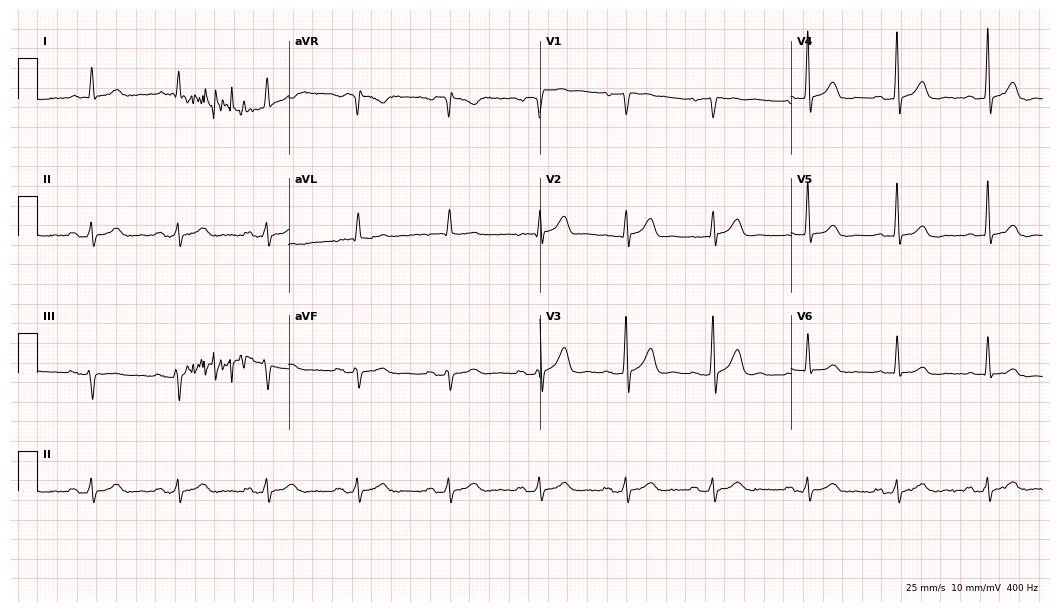
12-lead ECG from a man, 82 years old (10.2-second recording at 400 Hz). Recorded interpretation: within normal limits.